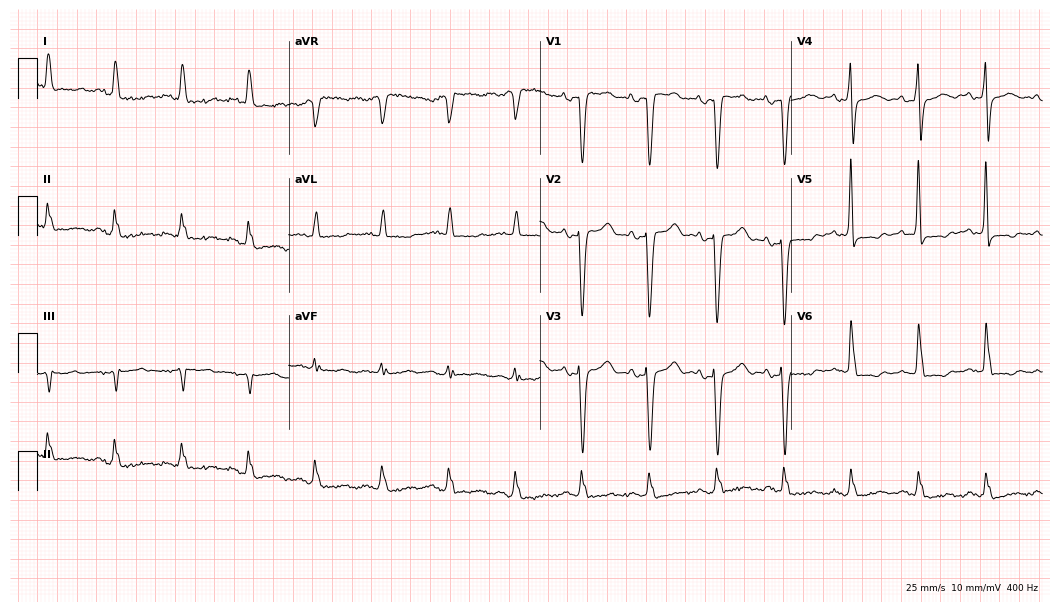
12-lead ECG from a female, 66 years old. Screened for six findings — first-degree AV block, right bundle branch block, left bundle branch block, sinus bradycardia, atrial fibrillation, sinus tachycardia — none is recorded. Only these six findings were labelled.